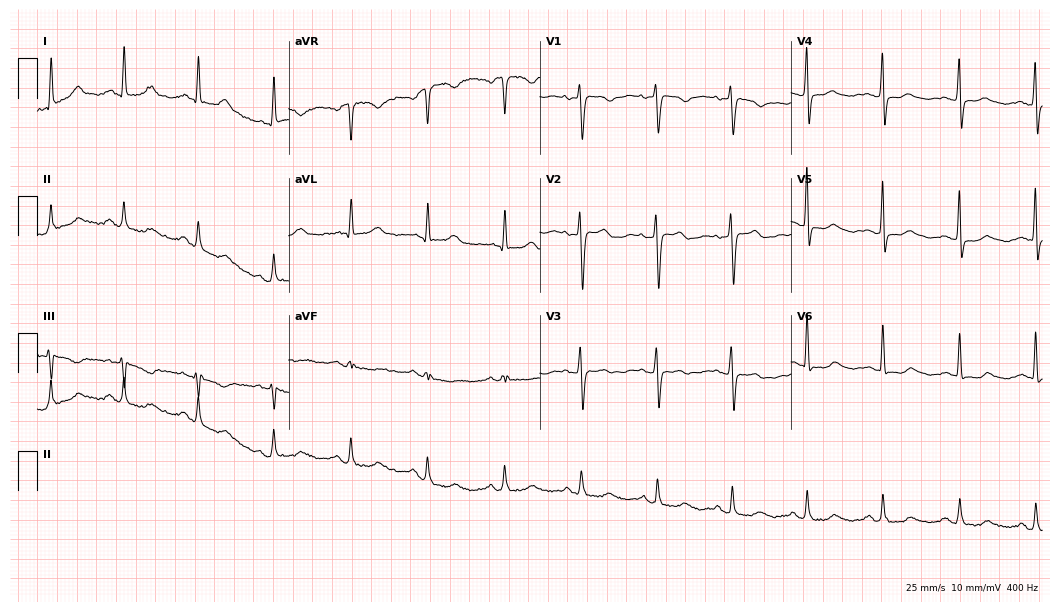
Electrocardiogram (10.2-second recording at 400 Hz), a 51-year-old female. Of the six screened findings (first-degree AV block, right bundle branch block (RBBB), left bundle branch block (LBBB), sinus bradycardia, atrial fibrillation (AF), sinus tachycardia), none is recorded. Findings outside these six are not listed.